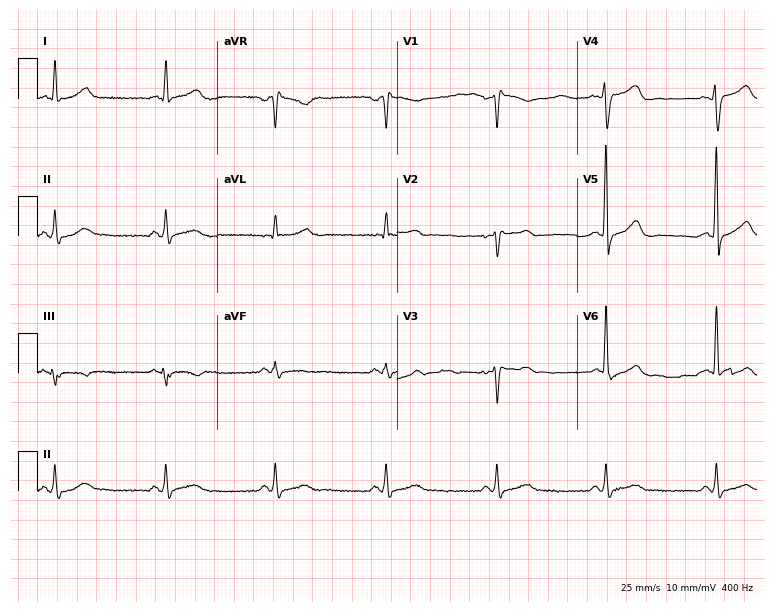
Electrocardiogram (7.3-second recording at 400 Hz), a male patient, 54 years old. Of the six screened findings (first-degree AV block, right bundle branch block (RBBB), left bundle branch block (LBBB), sinus bradycardia, atrial fibrillation (AF), sinus tachycardia), none is recorded.